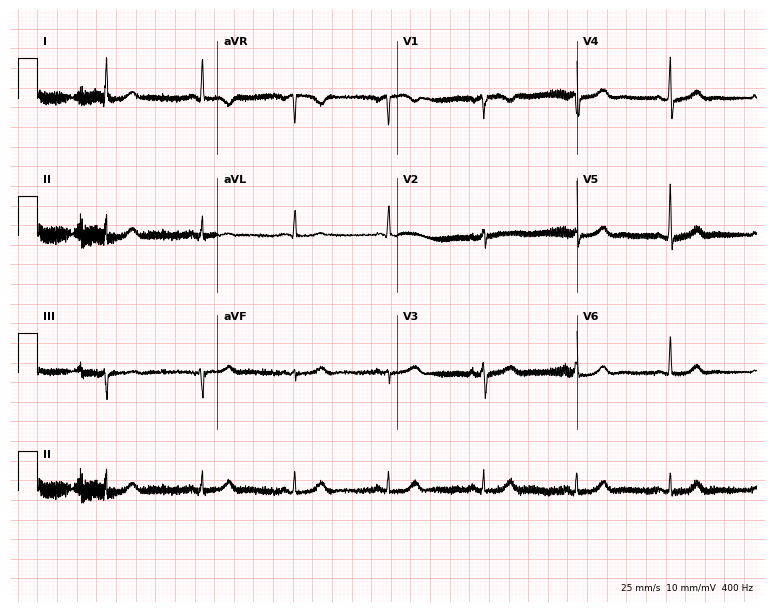
12-lead ECG from an 81-year-old woman (7.3-second recording at 400 Hz). Recorded interpretation: within normal limits.